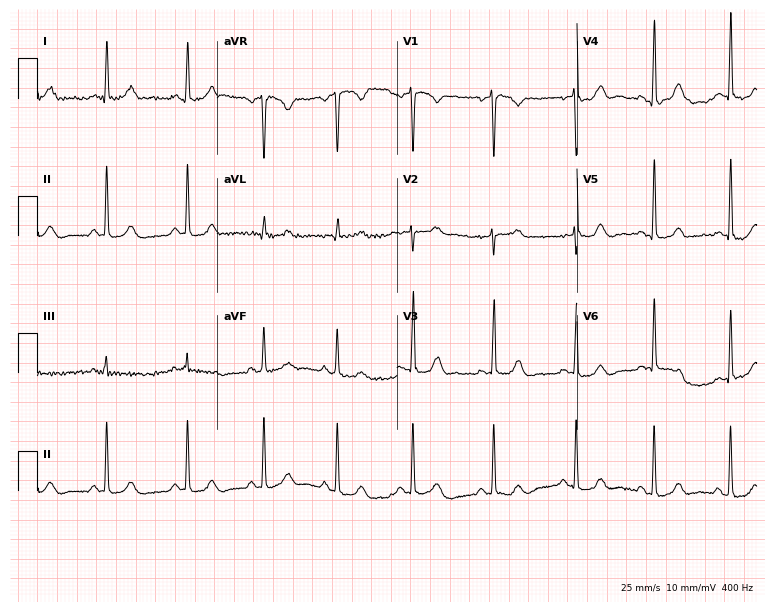
Resting 12-lead electrocardiogram. Patient: a 45-year-old female. Read as a normal ECG.